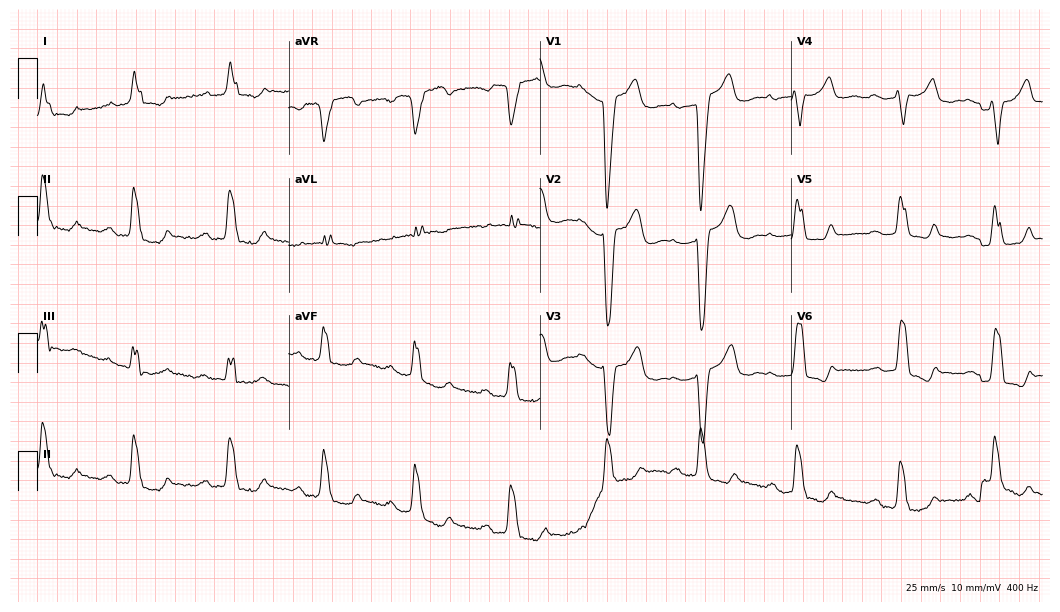
12-lead ECG from a female patient, 60 years old. Shows first-degree AV block, left bundle branch block.